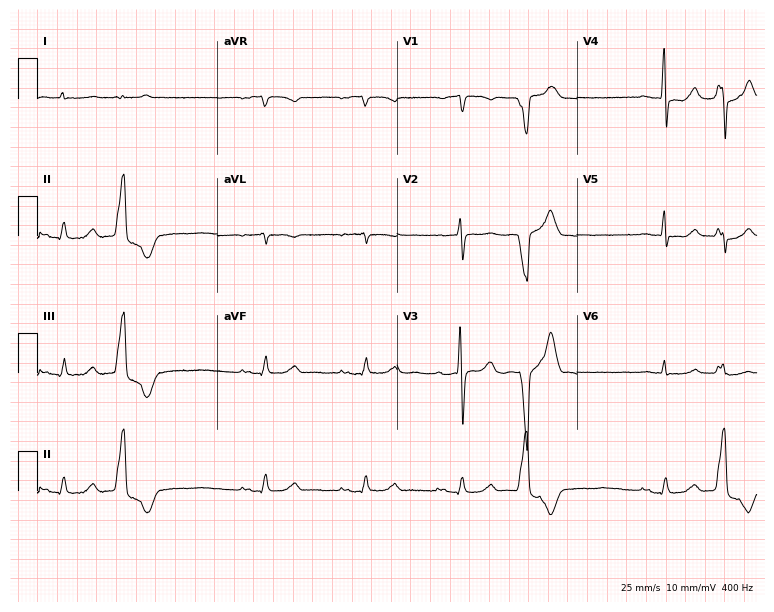
Resting 12-lead electrocardiogram. Patient: a male, 76 years old. The tracing shows first-degree AV block.